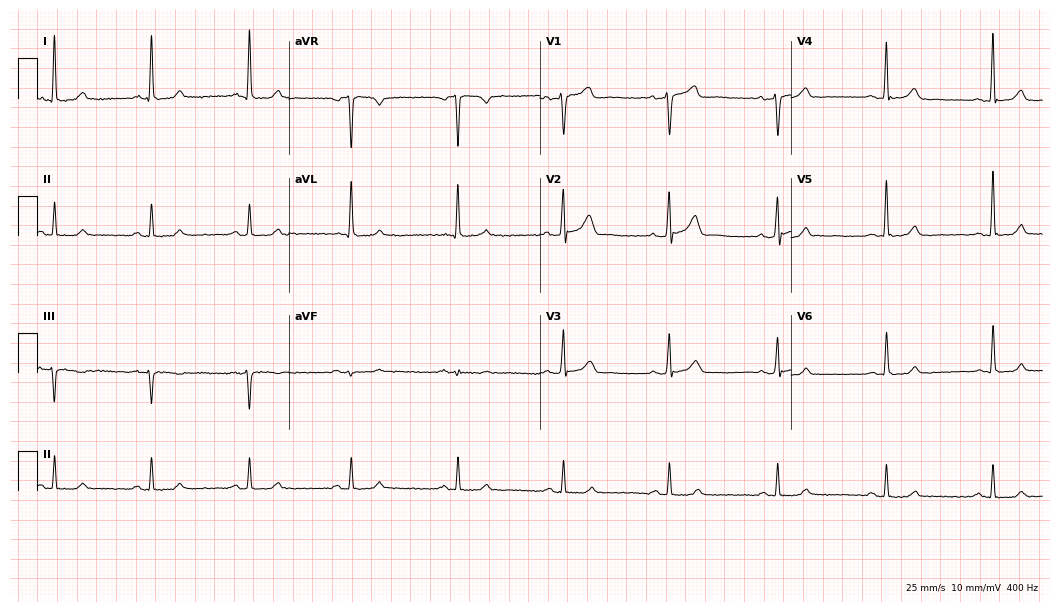
12-lead ECG from a 45-year-old male. No first-degree AV block, right bundle branch block, left bundle branch block, sinus bradycardia, atrial fibrillation or sinus tachycardia recorded for this tracing. Findings outside these six are not listed.